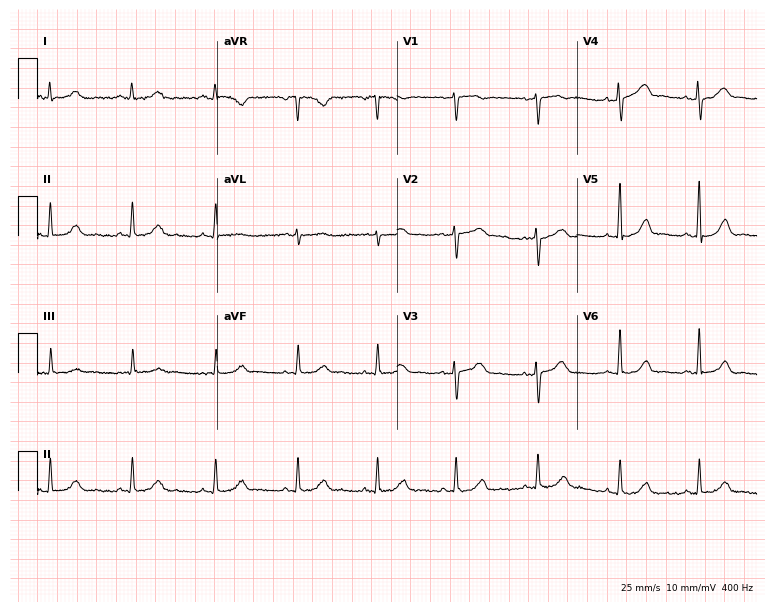
Electrocardiogram (7.3-second recording at 400 Hz), a woman, 57 years old. Overall reading on record: normal ECG.